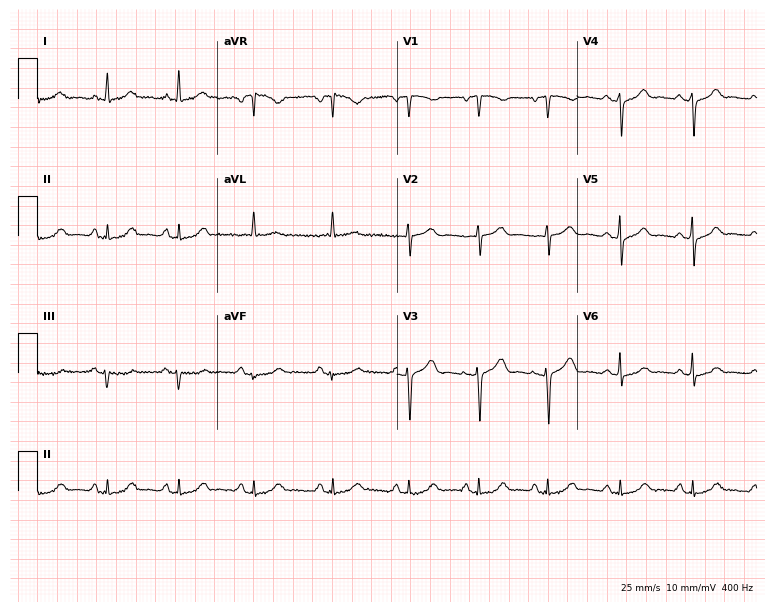
ECG — a female patient, 60 years old. Screened for six findings — first-degree AV block, right bundle branch block, left bundle branch block, sinus bradycardia, atrial fibrillation, sinus tachycardia — none is recorded. Other findings, if any, are not listed.